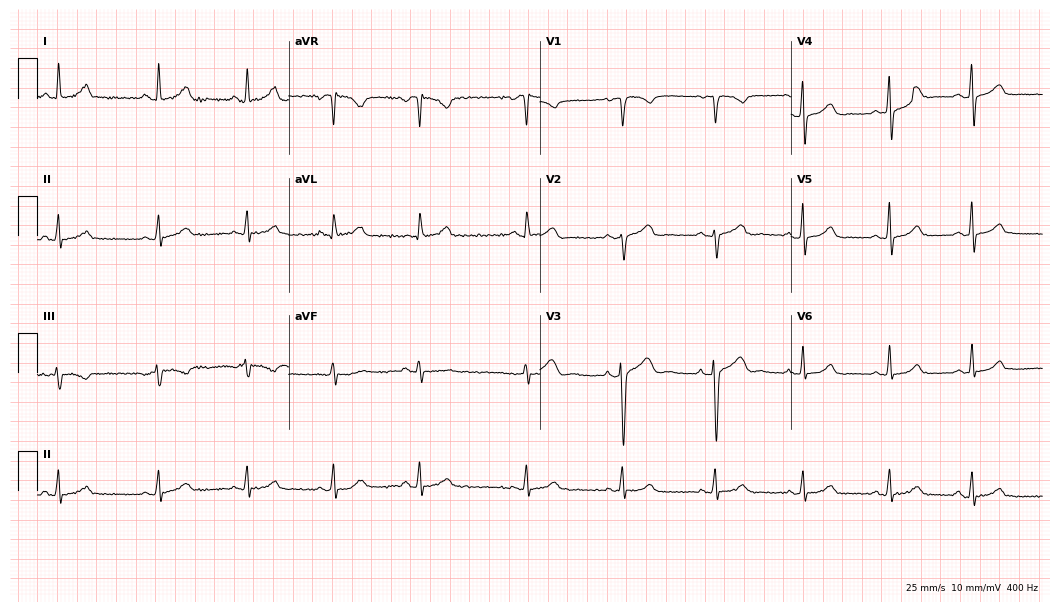
12-lead ECG from a 37-year-old female (10.2-second recording at 400 Hz). Recorded interpretation: within normal limits.